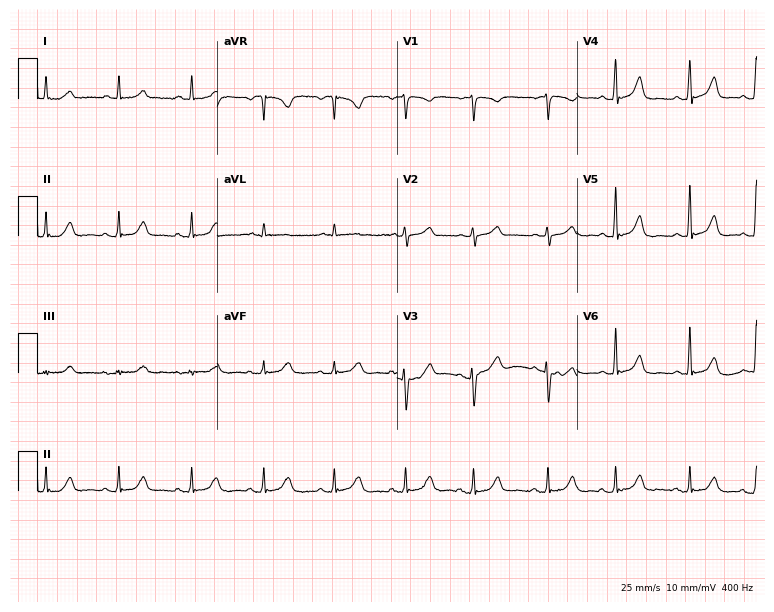
Standard 12-lead ECG recorded from a woman, 55 years old. None of these six findings is recorded: first-degree AV block, right bundle branch block, left bundle branch block, sinus bradycardia, atrial fibrillation, sinus tachycardia.